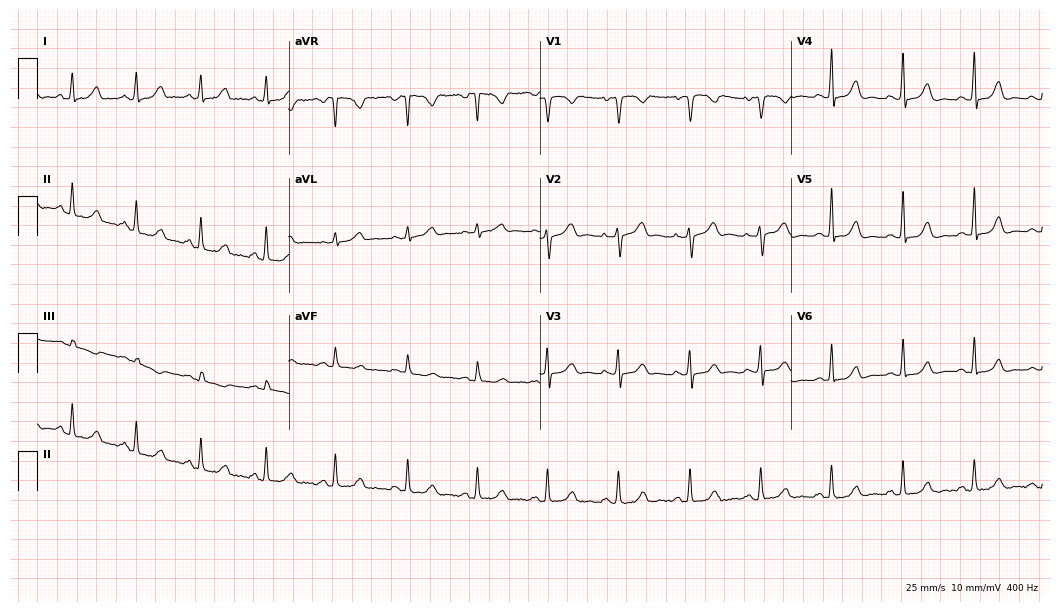
Standard 12-lead ECG recorded from a female patient, 45 years old (10.2-second recording at 400 Hz). Read as a normal ECG.